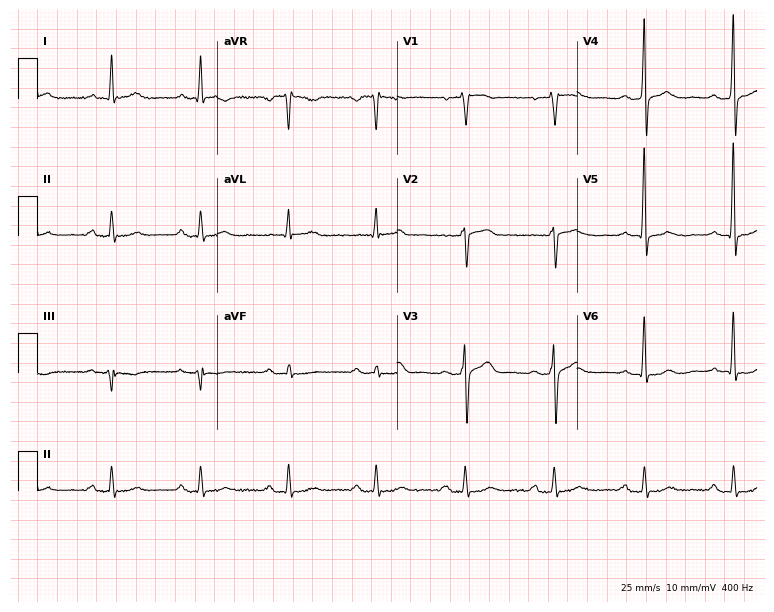
Resting 12-lead electrocardiogram (7.3-second recording at 400 Hz). Patient: a man, 65 years old. The tracing shows first-degree AV block.